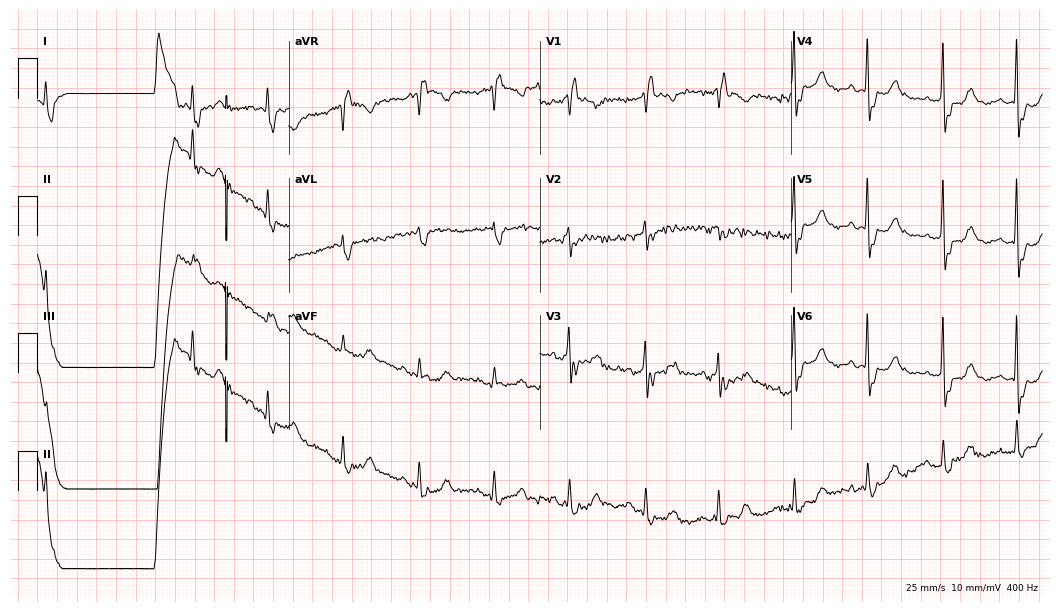
12-lead ECG from a woman, 73 years old. No first-degree AV block, right bundle branch block (RBBB), left bundle branch block (LBBB), sinus bradycardia, atrial fibrillation (AF) or sinus tachycardia recorded for this tracing.